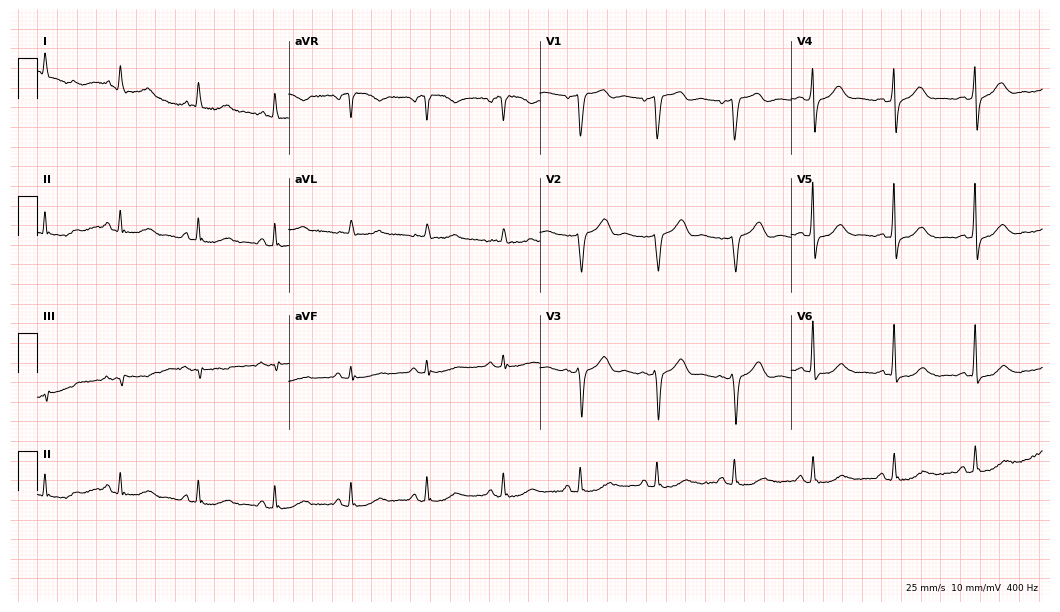
12-lead ECG (10.2-second recording at 400 Hz) from a male, 75 years old. Screened for six findings — first-degree AV block, right bundle branch block, left bundle branch block, sinus bradycardia, atrial fibrillation, sinus tachycardia — none is recorded. Only these six findings were labelled.